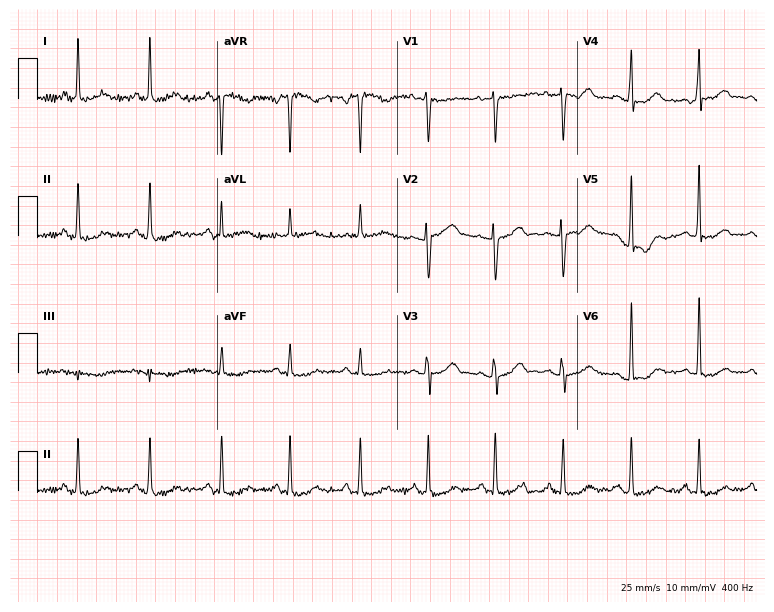
12-lead ECG from a female, 38 years old (7.3-second recording at 400 Hz). No first-degree AV block, right bundle branch block, left bundle branch block, sinus bradycardia, atrial fibrillation or sinus tachycardia recorded for this tracing.